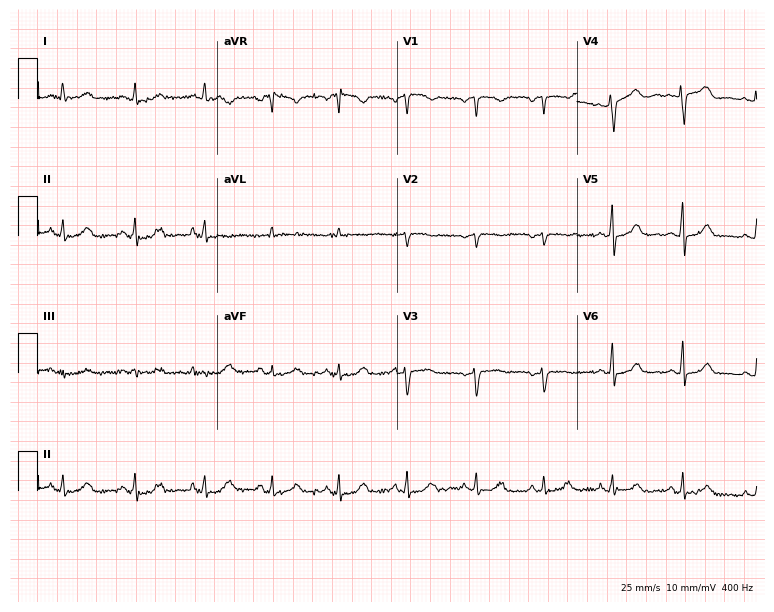
Resting 12-lead electrocardiogram. Patient: a 43-year-old female. None of these six findings is recorded: first-degree AV block, right bundle branch block, left bundle branch block, sinus bradycardia, atrial fibrillation, sinus tachycardia. Only these six findings were labelled.